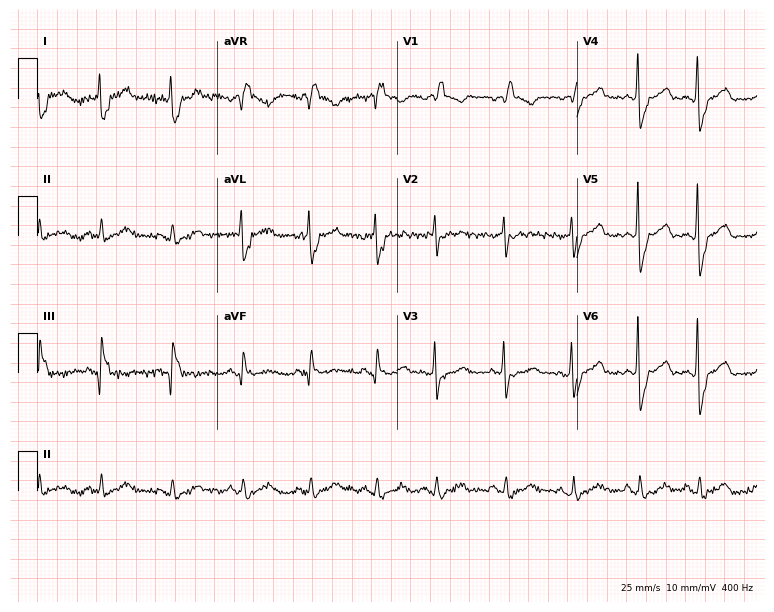
12-lead ECG from a 74-year-old male (7.3-second recording at 400 Hz). No first-degree AV block, right bundle branch block (RBBB), left bundle branch block (LBBB), sinus bradycardia, atrial fibrillation (AF) or sinus tachycardia recorded for this tracing.